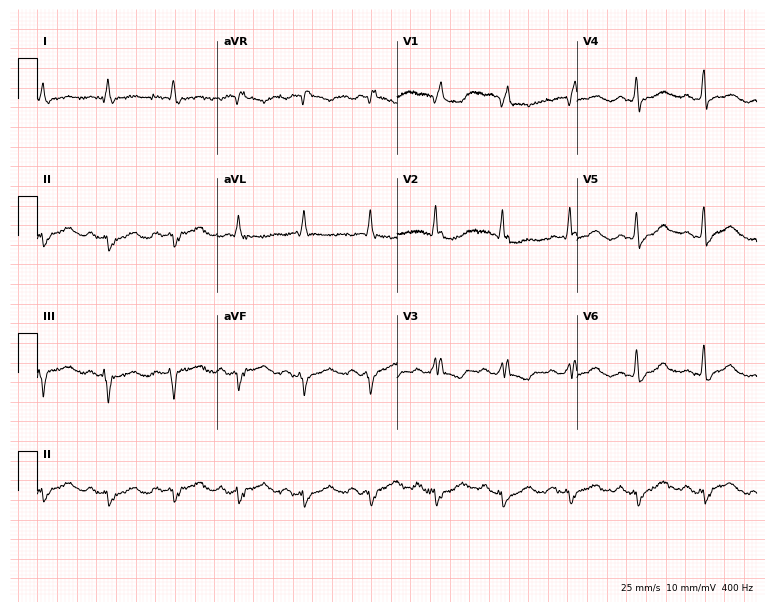
Electrocardiogram, an 80-year-old female patient. Of the six screened findings (first-degree AV block, right bundle branch block, left bundle branch block, sinus bradycardia, atrial fibrillation, sinus tachycardia), none is recorded. Findings outside these six are not listed.